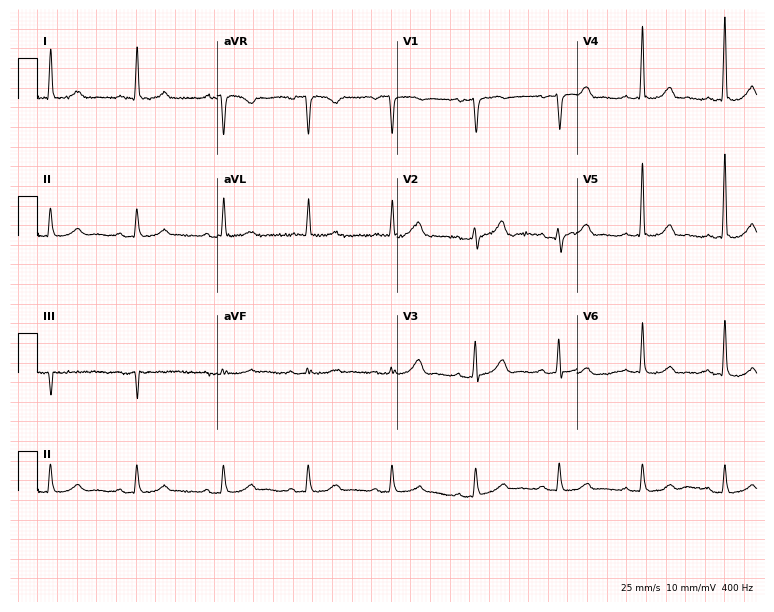
12-lead ECG from a 67-year-old woman. Recorded interpretation: within normal limits.